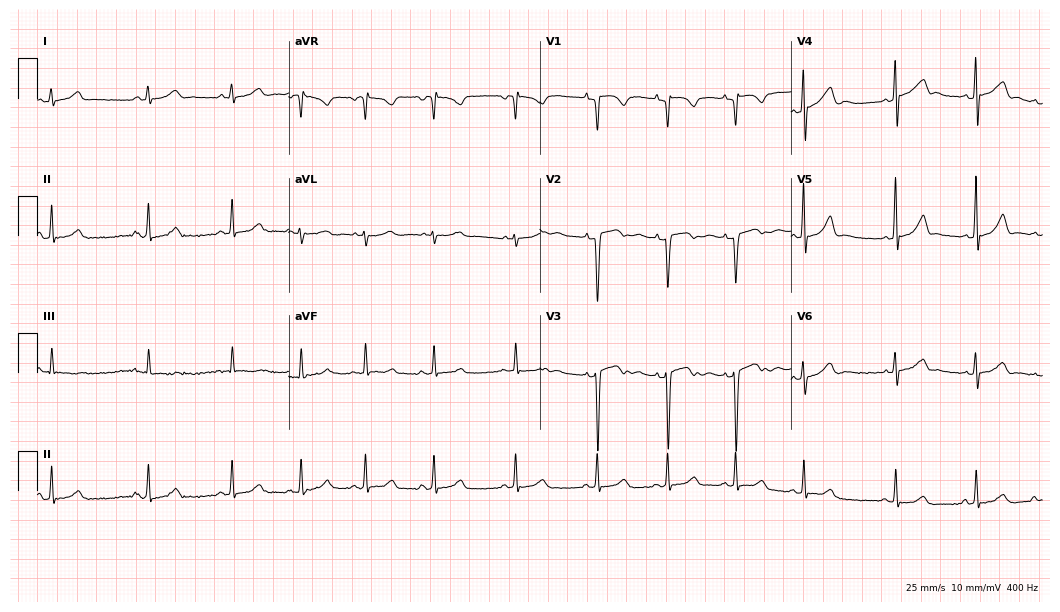
Standard 12-lead ECG recorded from a 22-year-old male (10.2-second recording at 400 Hz). Read as a normal ECG.